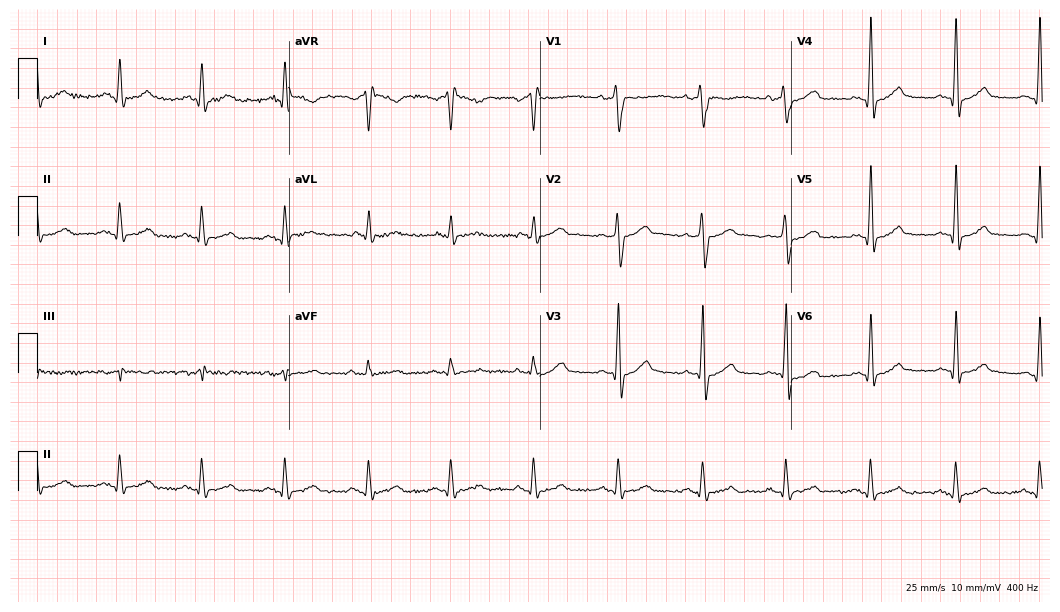
Electrocardiogram, a 46-year-old male. Of the six screened findings (first-degree AV block, right bundle branch block (RBBB), left bundle branch block (LBBB), sinus bradycardia, atrial fibrillation (AF), sinus tachycardia), none is recorded.